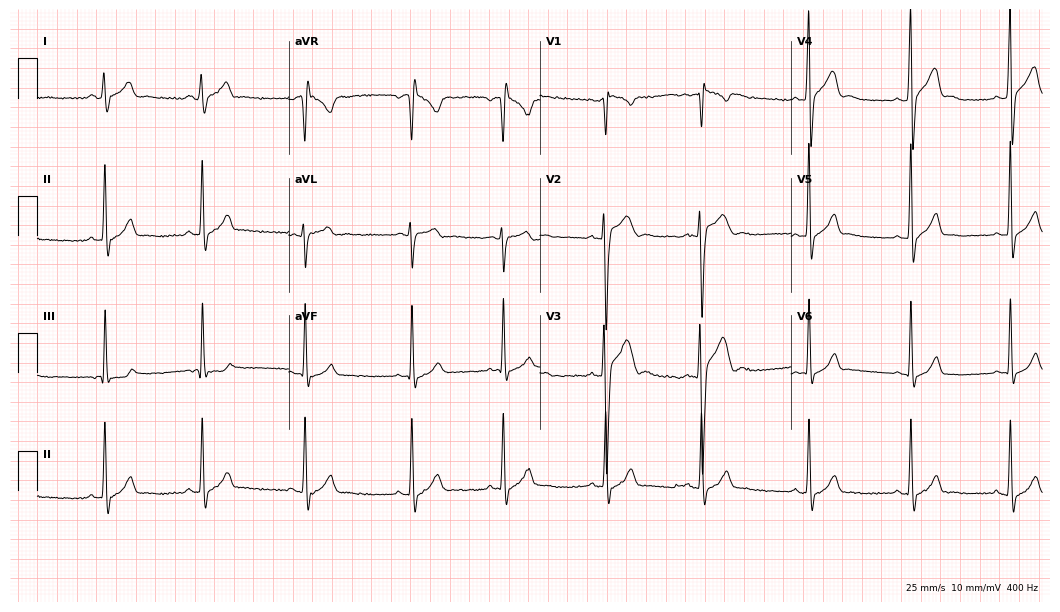
Resting 12-lead electrocardiogram (10.2-second recording at 400 Hz). Patient: a man, 19 years old. None of these six findings is recorded: first-degree AV block, right bundle branch block (RBBB), left bundle branch block (LBBB), sinus bradycardia, atrial fibrillation (AF), sinus tachycardia. Findings outside these six are not listed.